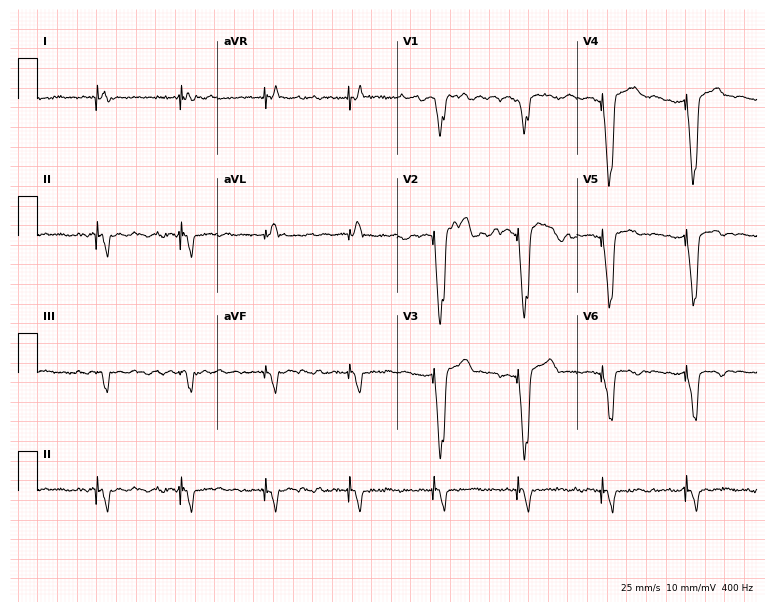
Resting 12-lead electrocardiogram (7.3-second recording at 400 Hz). Patient: a male, 58 years old. None of these six findings is recorded: first-degree AV block, right bundle branch block (RBBB), left bundle branch block (LBBB), sinus bradycardia, atrial fibrillation (AF), sinus tachycardia. Only these six findings were labelled.